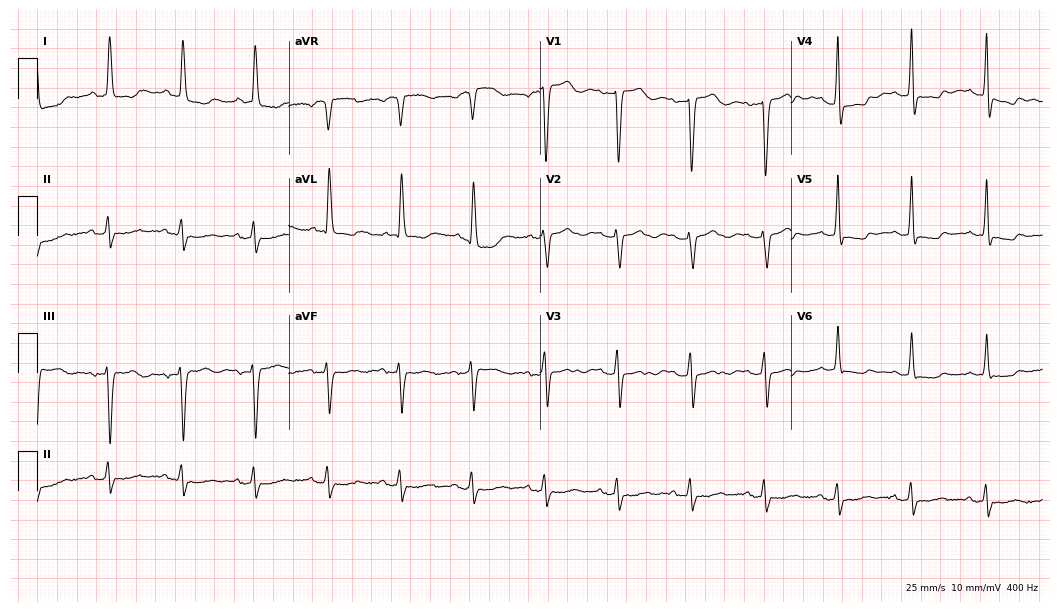
12-lead ECG from a 79-year-old female patient (10.2-second recording at 400 Hz). No first-degree AV block, right bundle branch block (RBBB), left bundle branch block (LBBB), sinus bradycardia, atrial fibrillation (AF) or sinus tachycardia recorded for this tracing.